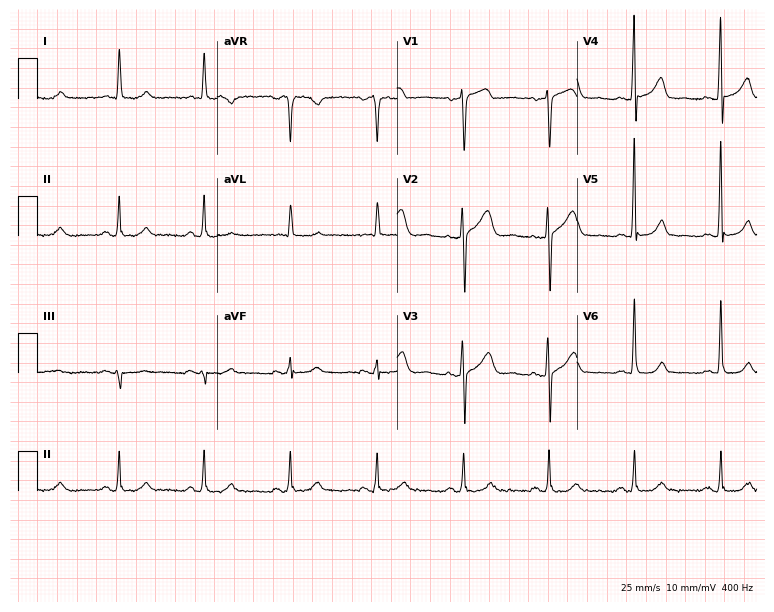
12-lead ECG from a male, 76 years old (7.3-second recording at 400 Hz). Recorded interpretation: within normal limits.